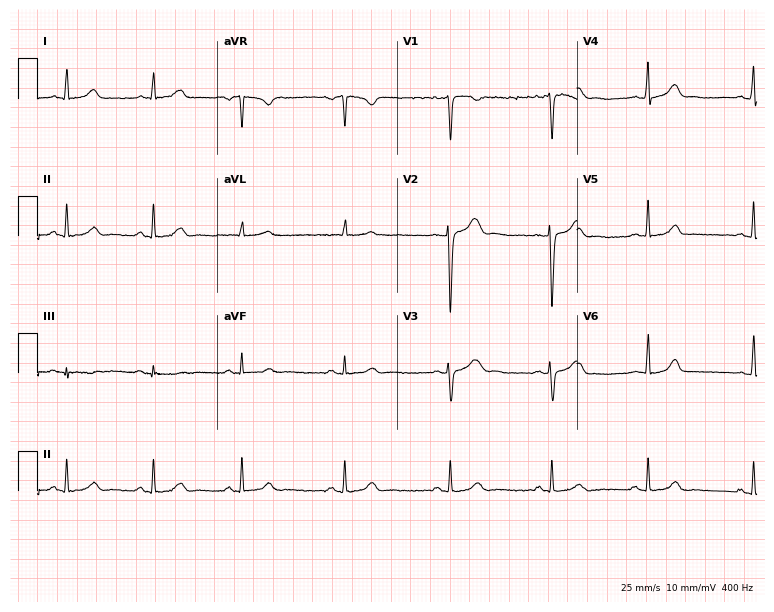
12-lead ECG (7.3-second recording at 400 Hz) from a 31-year-old female. Labelled as a normal ECG.